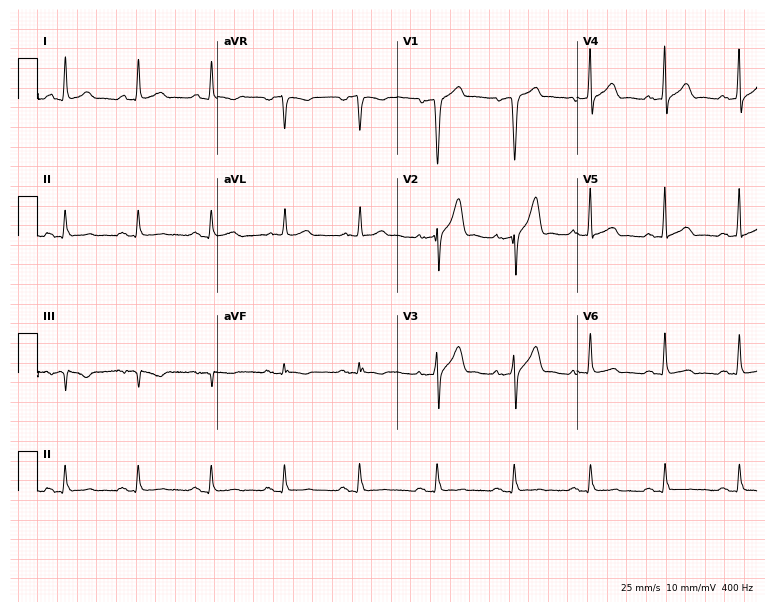
Standard 12-lead ECG recorded from a 46-year-old man (7.3-second recording at 400 Hz). None of these six findings is recorded: first-degree AV block, right bundle branch block, left bundle branch block, sinus bradycardia, atrial fibrillation, sinus tachycardia.